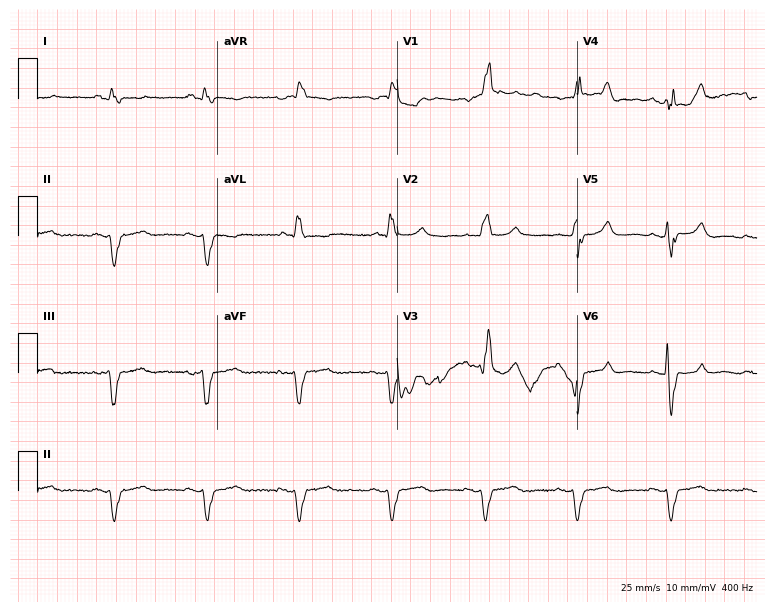
Electrocardiogram, a 77-year-old woman. Interpretation includes right bundle branch block (RBBB).